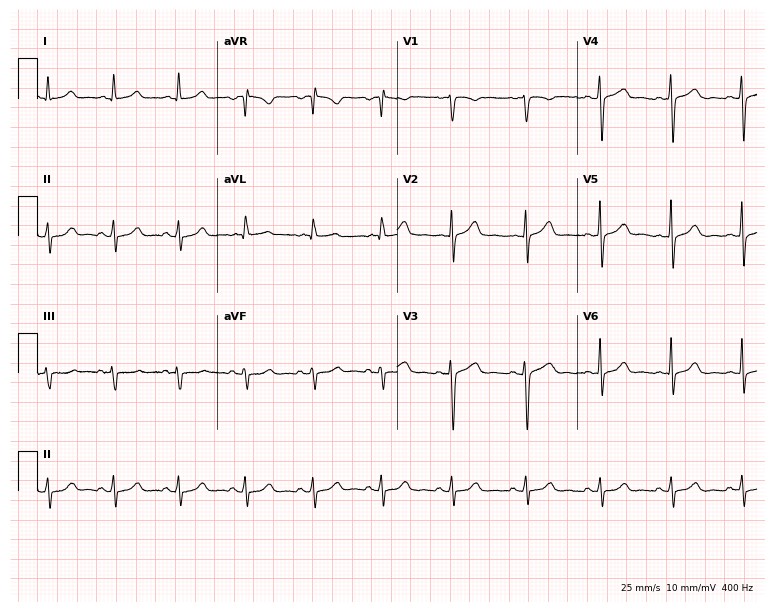
Electrocardiogram (7.3-second recording at 400 Hz), a 44-year-old female. Of the six screened findings (first-degree AV block, right bundle branch block (RBBB), left bundle branch block (LBBB), sinus bradycardia, atrial fibrillation (AF), sinus tachycardia), none is recorded. Only these six findings were labelled.